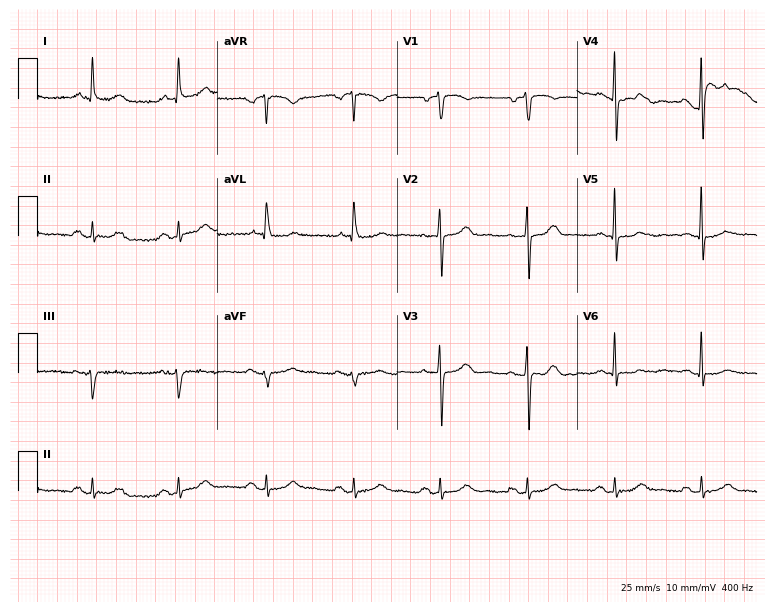
Resting 12-lead electrocardiogram. Patient: a 62-year-old woman. Read as a normal ECG.